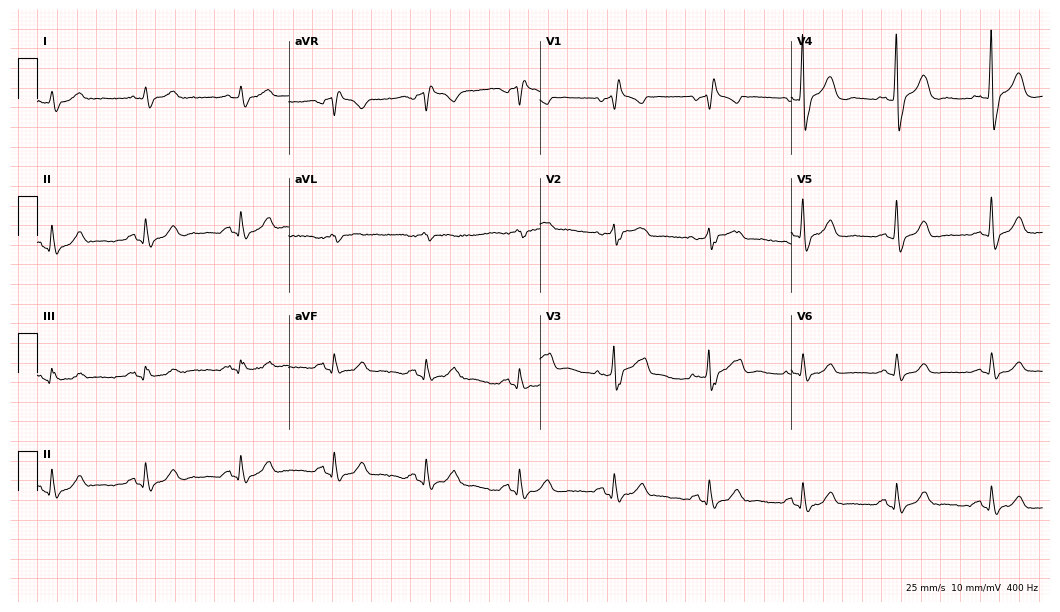
ECG (10.2-second recording at 400 Hz) — a male patient, 76 years old. Findings include right bundle branch block (RBBB).